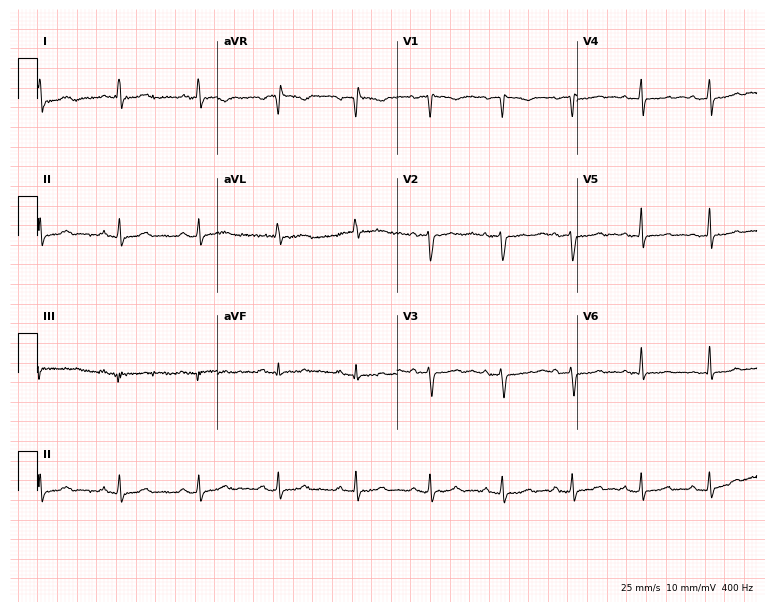
12-lead ECG from a woman, 54 years old. Screened for six findings — first-degree AV block, right bundle branch block (RBBB), left bundle branch block (LBBB), sinus bradycardia, atrial fibrillation (AF), sinus tachycardia — none is recorded. Only these six findings were labelled.